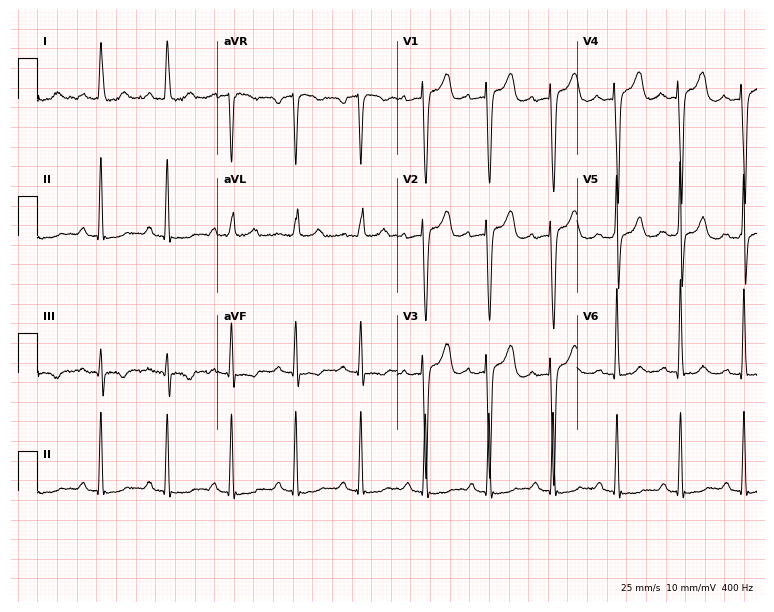
Electrocardiogram, a woman, 50 years old. Overall reading on record: normal ECG.